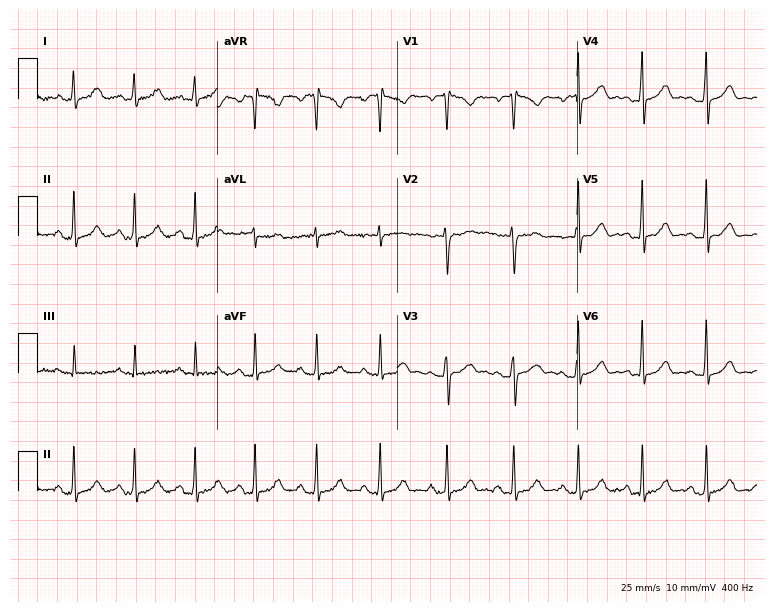
Standard 12-lead ECG recorded from a 35-year-old female. Read as a normal ECG.